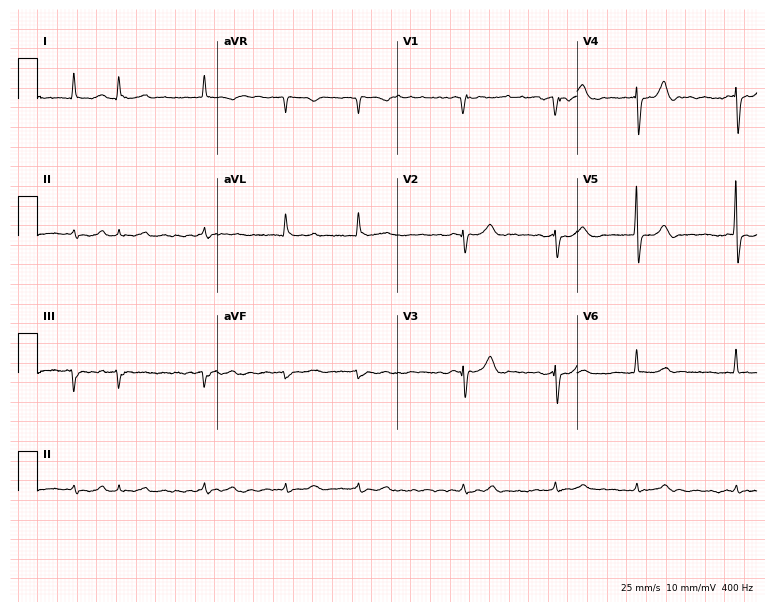
ECG (7.3-second recording at 400 Hz) — an 84-year-old male. Findings include atrial fibrillation.